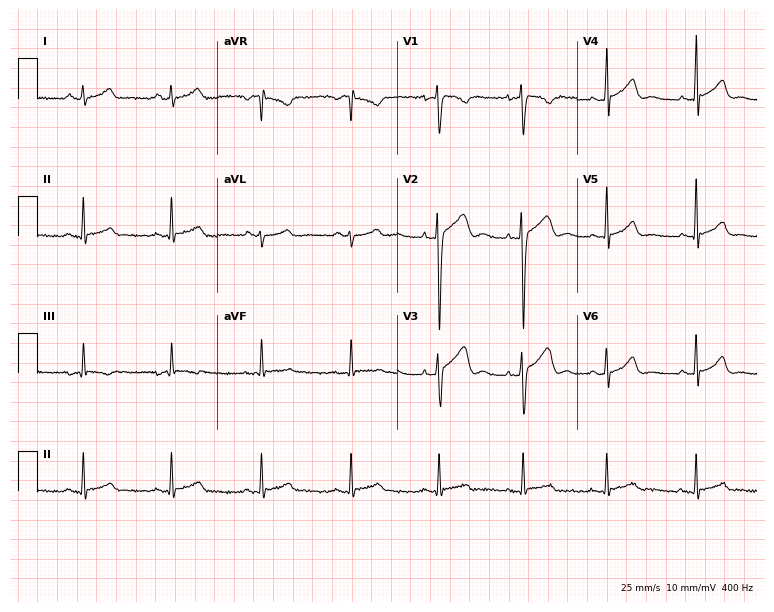
Resting 12-lead electrocardiogram. Patient: a 24-year-old male. None of these six findings is recorded: first-degree AV block, right bundle branch block (RBBB), left bundle branch block (LBBB), sinus bradycardia, atrial fibrillation (AF), sinus tachycardia.